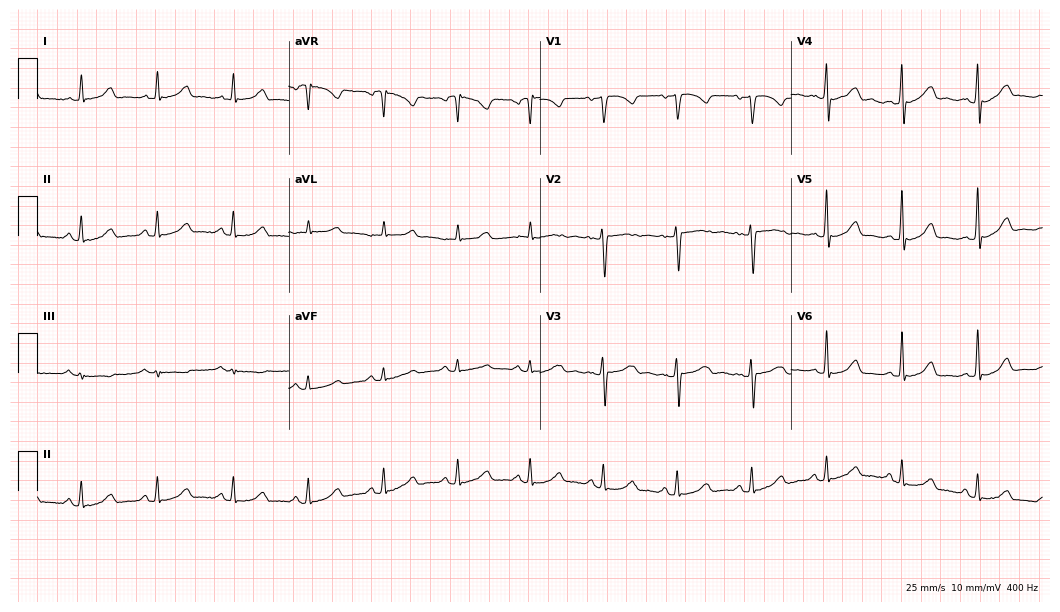
12-lead ECG from a female patient, 63 years old. No first-degree AV block, right bundle branch block (RBBB), left bundle branch block (LBBB), sinus bradycardia, atrial fibrillation (AF) or sinus tachycardia recorded for this tracing.